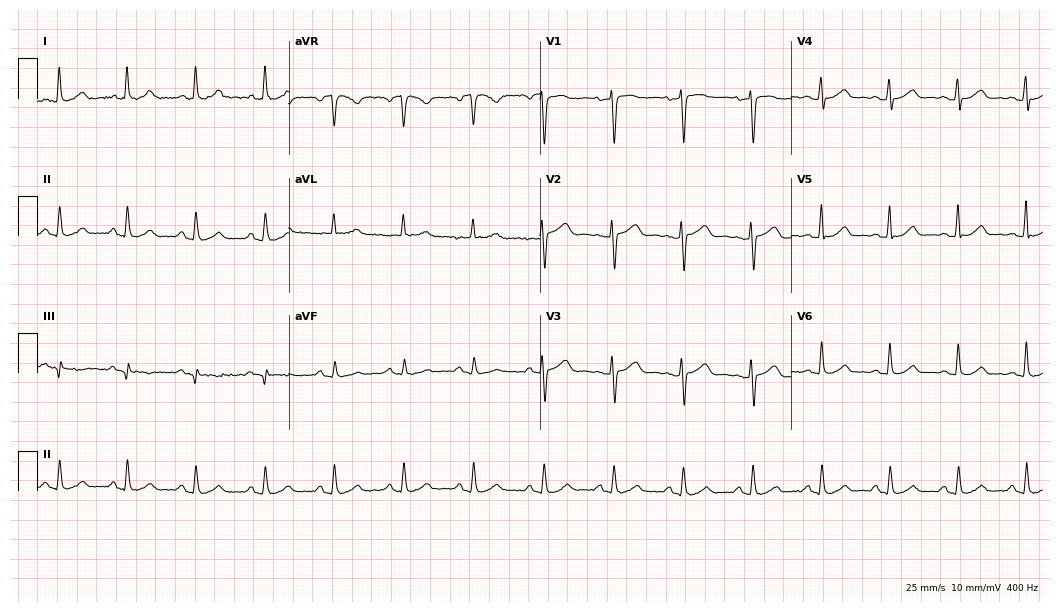
12-lead ECG from a 62-year-old woman. Labelled as a normal ECG.